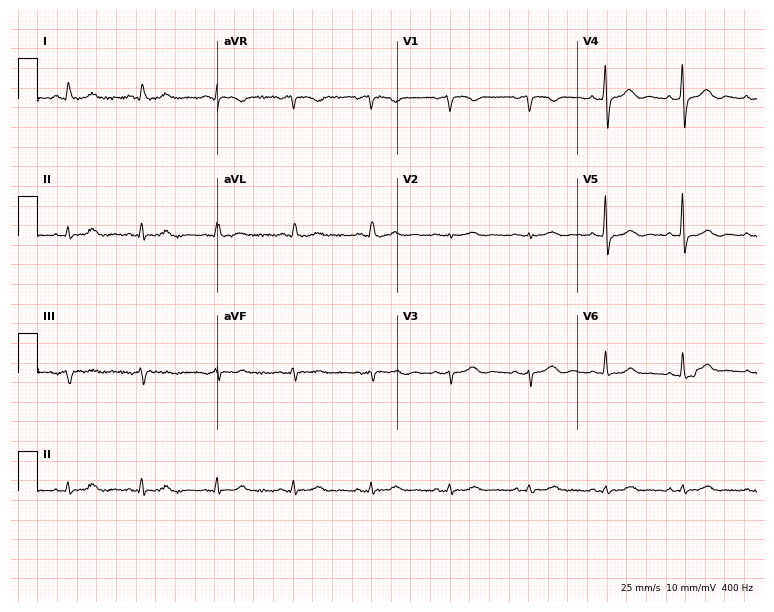
ECG — a female, 65 years old. Labelled as a normal ECG.